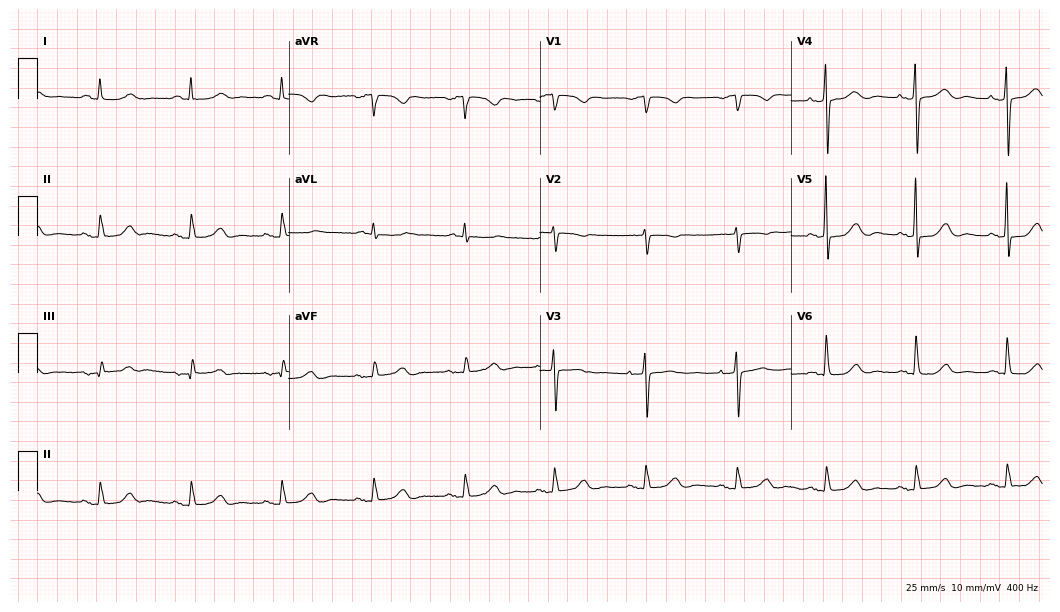
ECG — a female, 82 years old. Screened for six findings — first-degree AV block, right bundle branch block, left bundle branch block, sinus bradycardia, atrial fibrillation, sinus tachycardia — none is recorded.